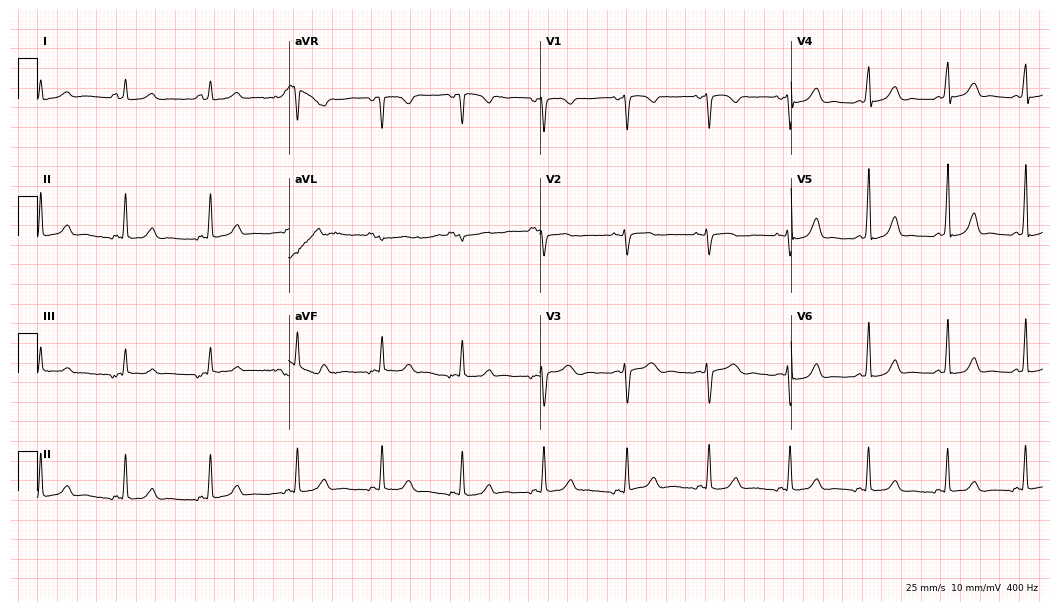
Resting 12-lead electrocardiogram (10.2-second recording at 400 Hz). Patient: a 30-year-old woman. None of these six findings is recorded: first-degree AV block, right bundle branch block, left bundle branch block, sinus bradycardia, atrial fibrillation, sinus tachycardia. Other findings, if any, are not listed.